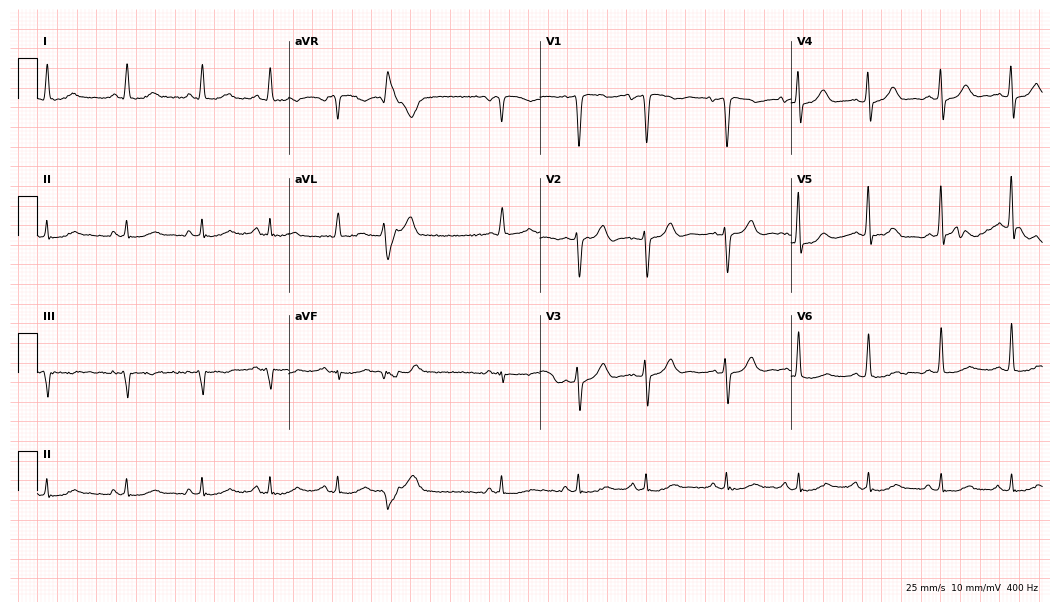
Electrocardiogram, a male, 73 years old. Of the six screened findings (first-degree AV block, right bundle branch block, left bundle branch block, sinus bradycardia, atrial fibrillation, sinus tachycardia), none is recorded. Only these six findings were labelled.